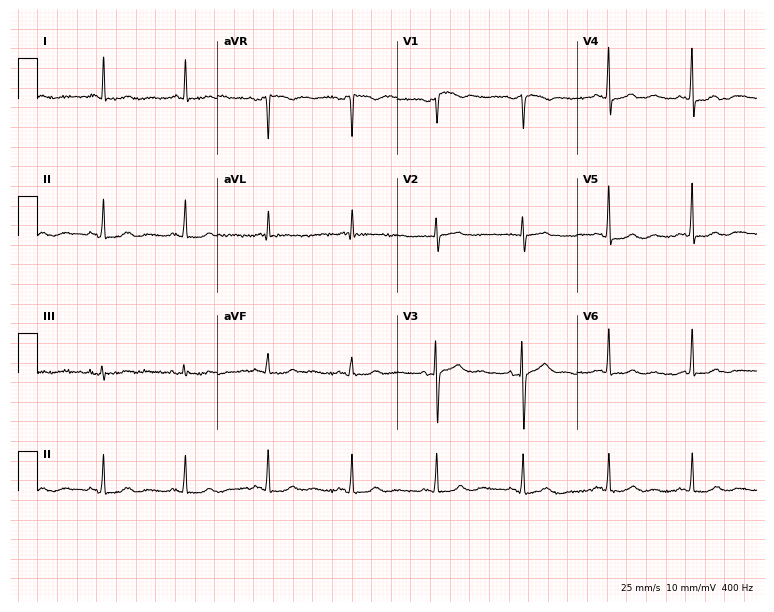
Electrocardiogram (7.3-second recording at 400 Hz), a woman, 75 years old. Of the six screened findings (first-degree AV block, right bundle branch block, left bundle branch block, sinus bradycardia, atrial fibrillation, sinus tachycardia), none is recorded.